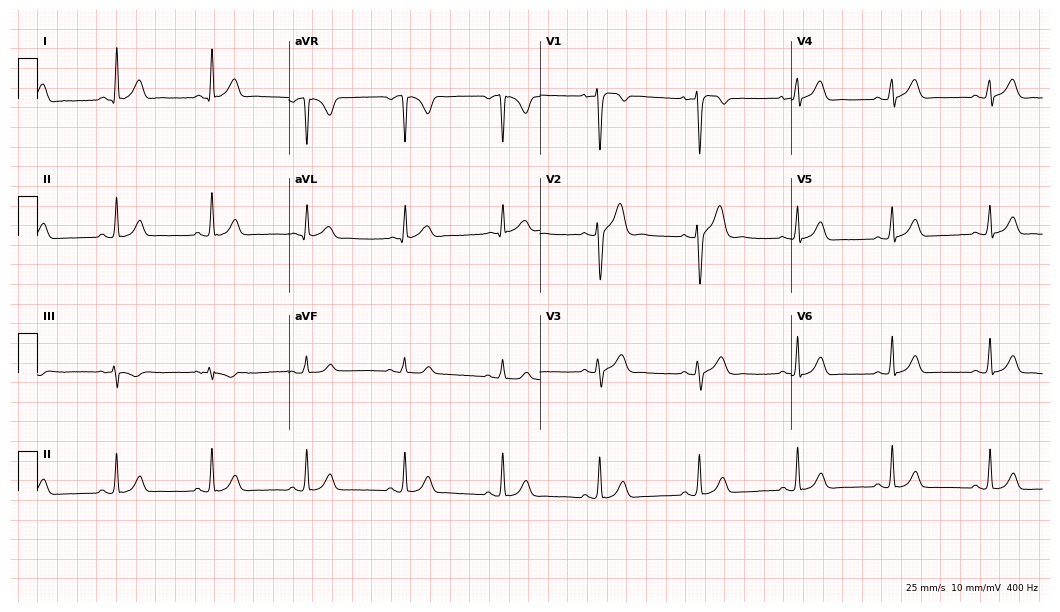
Standard 12-lead ECG recorded from a 21-year-old male. Read as a normal ECG.